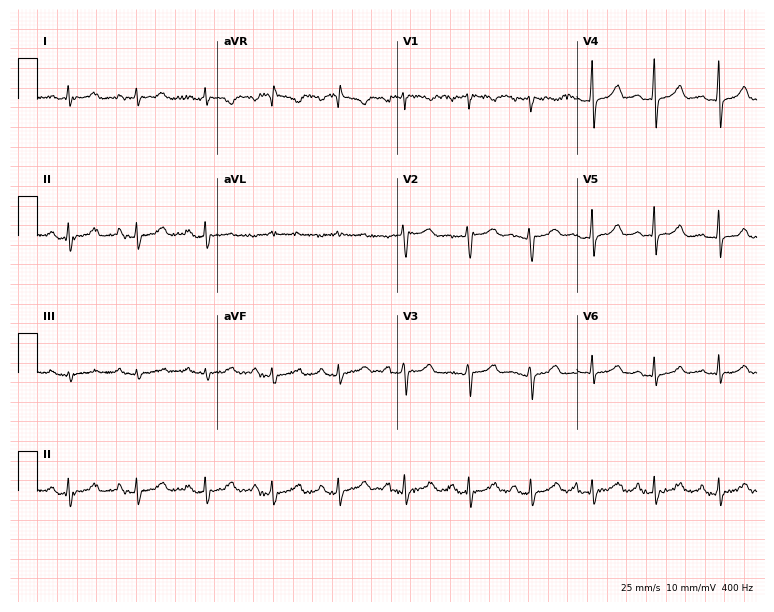
Resting 12-lead electrocardiogram (7.3-second recording at 400 Hz). Patient: a female, 33 years old. None of these six findings is recorded: first-degree AV block, right bundle branch block (RBBB), left bundle branch block (LBBB), sinus bradycardia, atrial fibrillation (AF), sinus tachycardia.